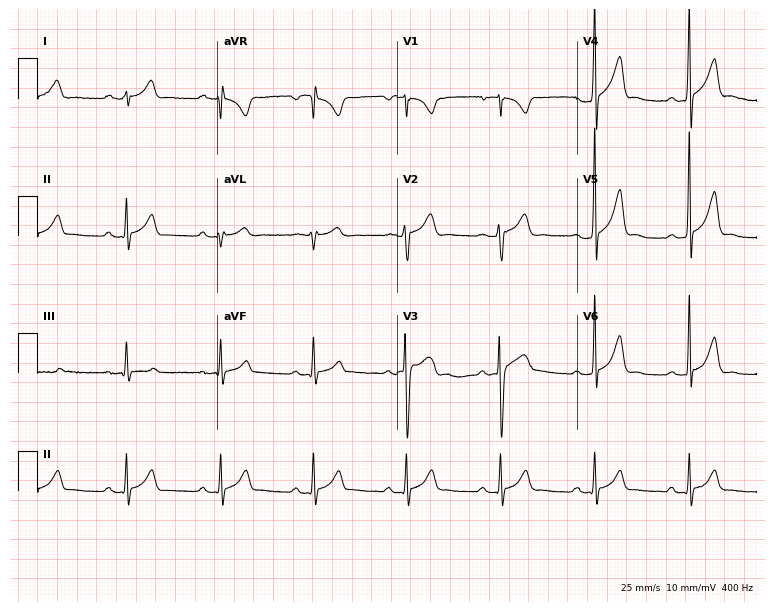
Standard 12-lead ECG recorded from a male patient, 24 years old. None of these six findings is recorded: first-degree AV block, right bundle branch block, left bundle branch block, sinus bradycardia, atrial fibrillation, sinus tachycardia.